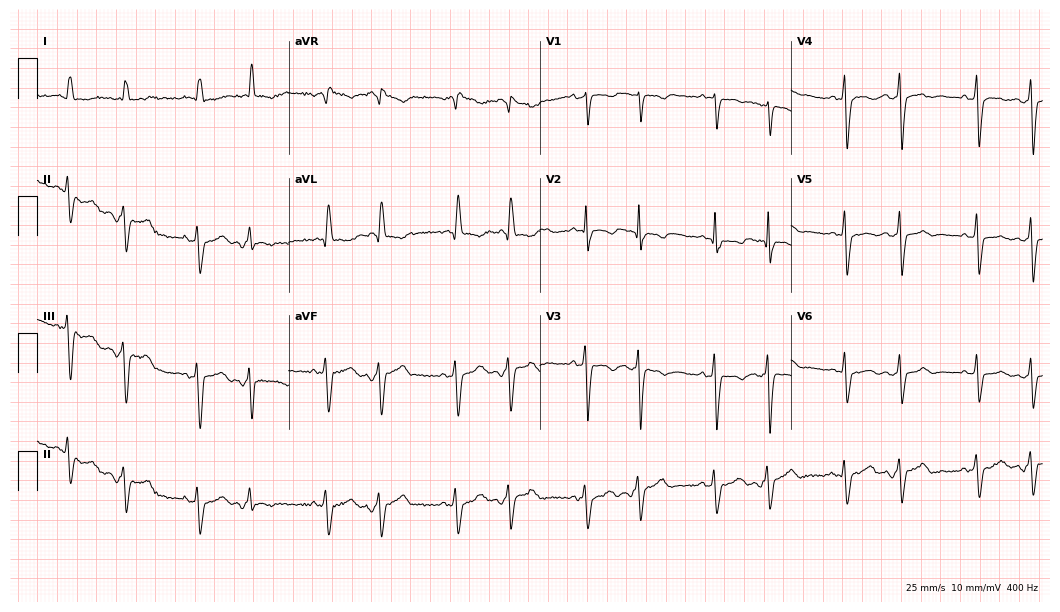
Electrocardiogram, a woman, 68 years old. Of the six screened findings (first-degree AV block, right bundle branch block (RBBB), left bundle branch block (LBBB), sinus bradycardia, atrial fibrillation (AF), sinus tachycardia), none is recorded. Findings outside these six are not listed.